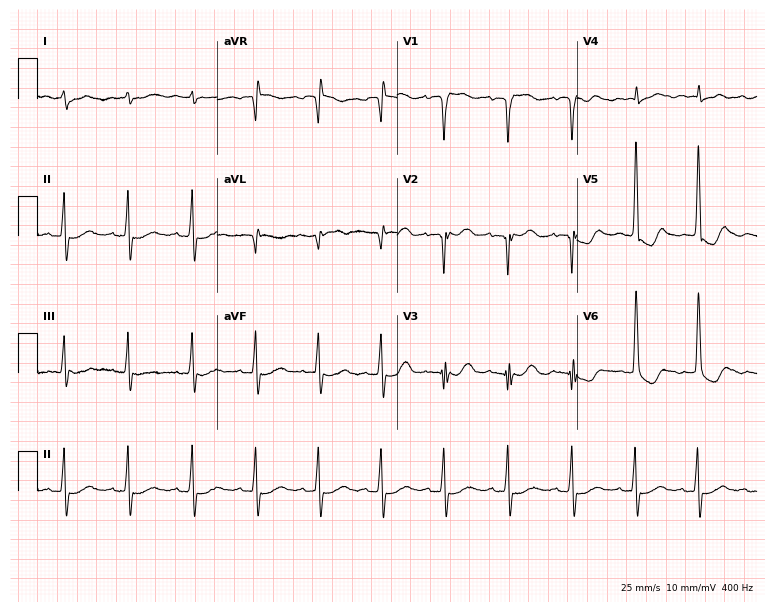
Resting 12-lead electrocardiogram (7.3-second recording at 400 Hz). Patient: an 82-year-old female. None of these six findings is recorded: first-degree AV block, right bundle branch block (RBBB), left bundle branch block (LBBB), sinus bradycardia, atrial fibrillation (AF), sinus tachycardia.